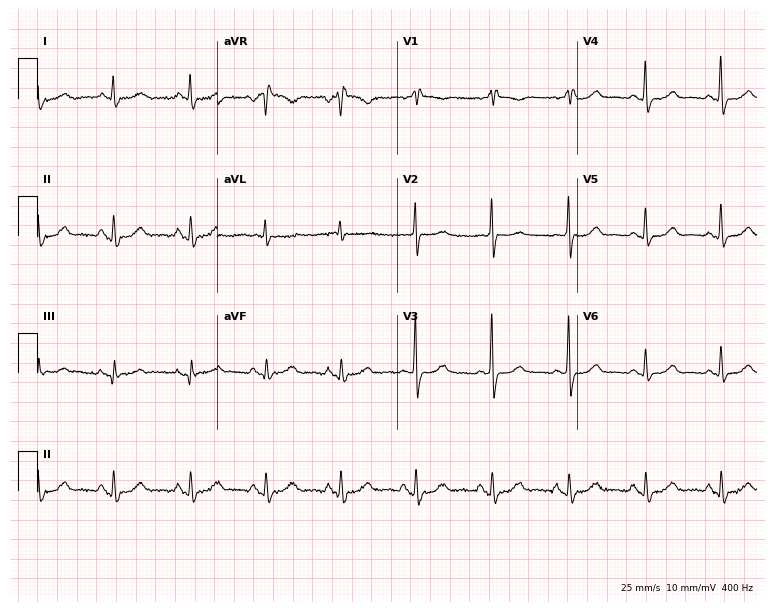
12-lead ECG (7.3-second recording at 400 Hz) from a 69-year-old woman. Findings include right bundle branch block.